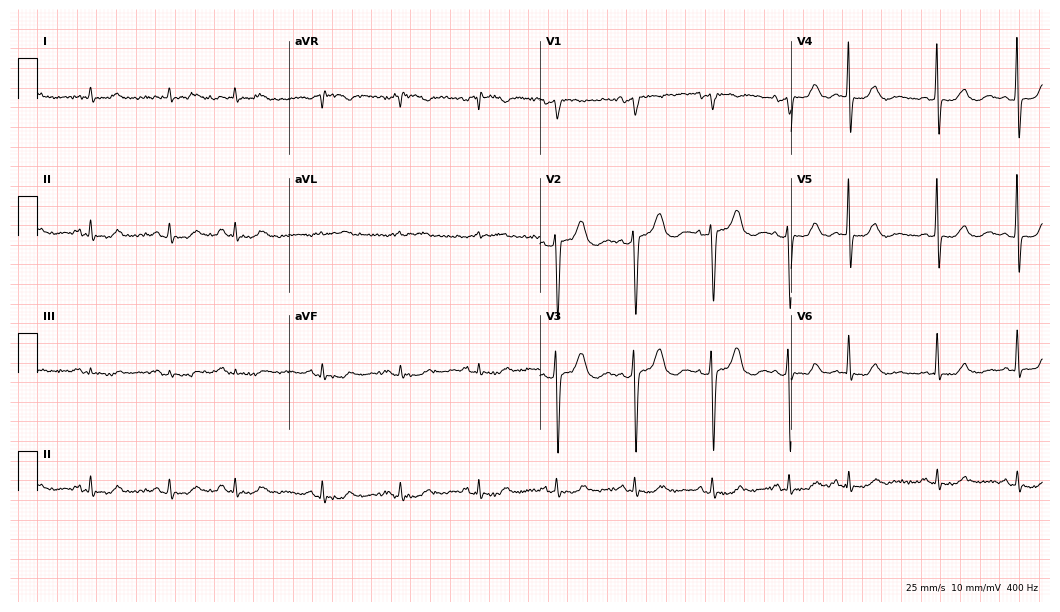
ECG — a 78-year-old female. Labelled as a normal ECG.